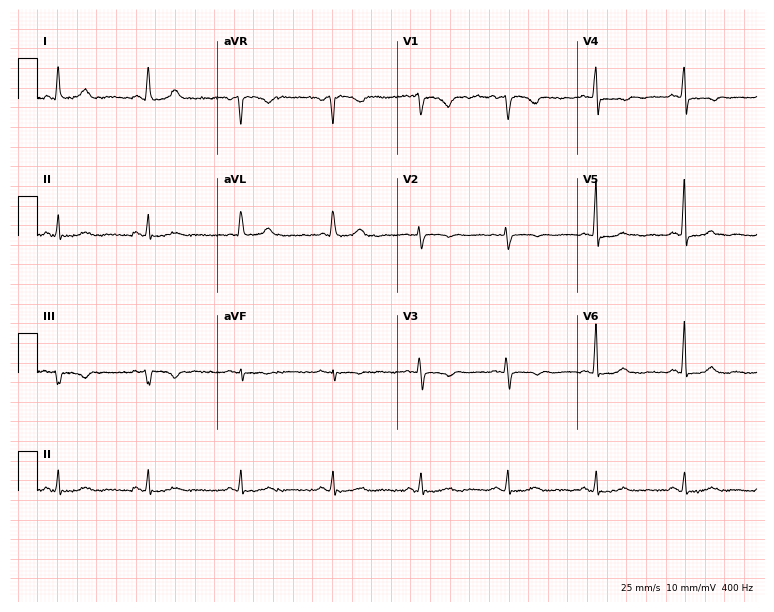
ECG (7.3-second recording at 400 Hz) — a woman, 57 years old. Screened for six findings — first-degree AV block, right bundle branch block, left bundle branch block, sinus bradycardia, atrial fibrillation, sinus tachycardia — none is recorded. Findings outside these six are not listed.